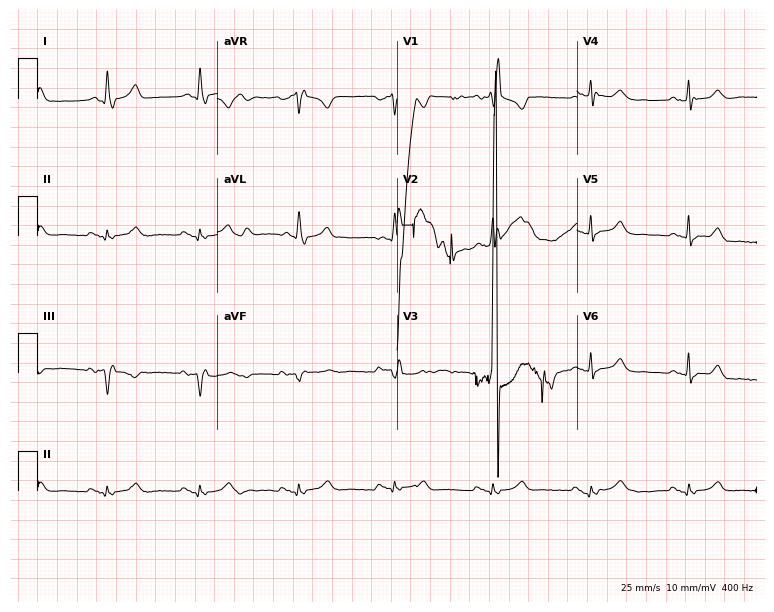
12-lead ECG from a male, 63 years old. Findings include right bundle branch block.